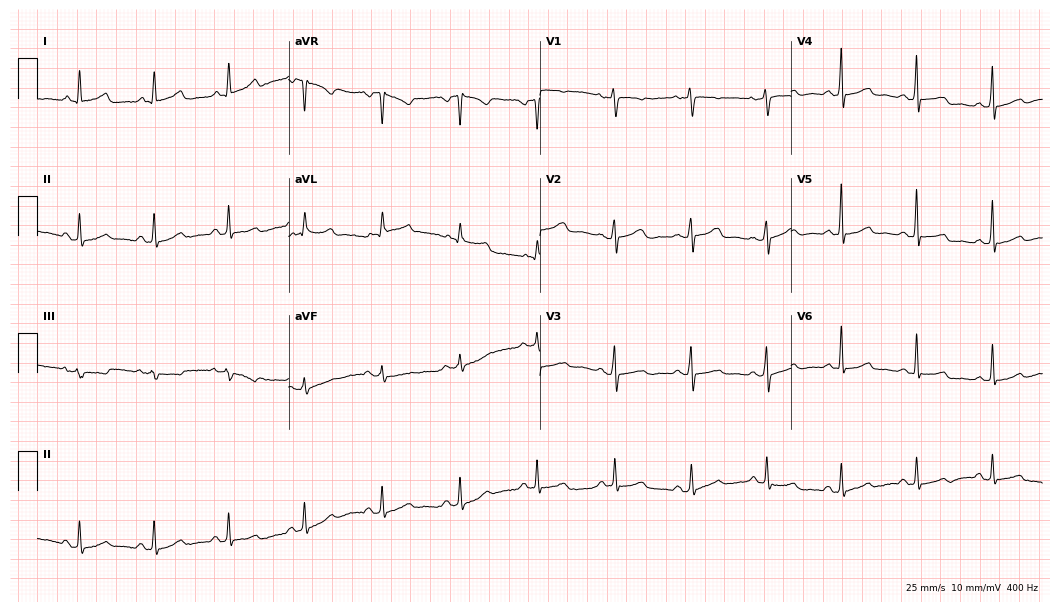
12-lead ECG from a female patient, 50 years old (10.2-second recording at 400 Hz). Recorded interpretation: within normal limits.